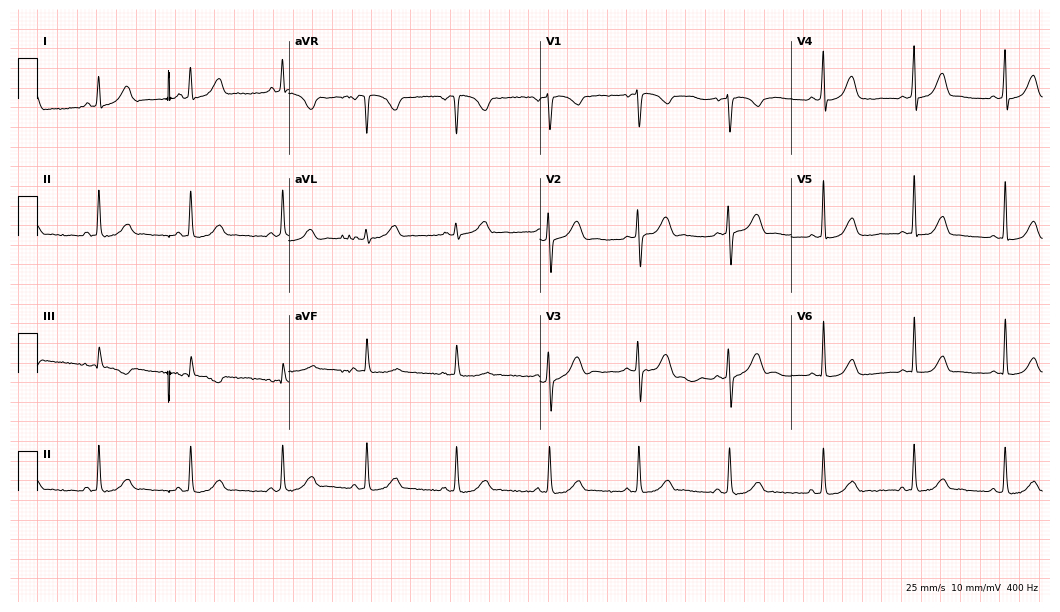
ECG — a female patient, 21 years old. Screened for six findings — first-degree AV block, right bundle branch block, left bundle branch block, sinus bradycardia, atrial fibrillation, sinus tachycardia — none is recorded. Findings outside these six are not listed.